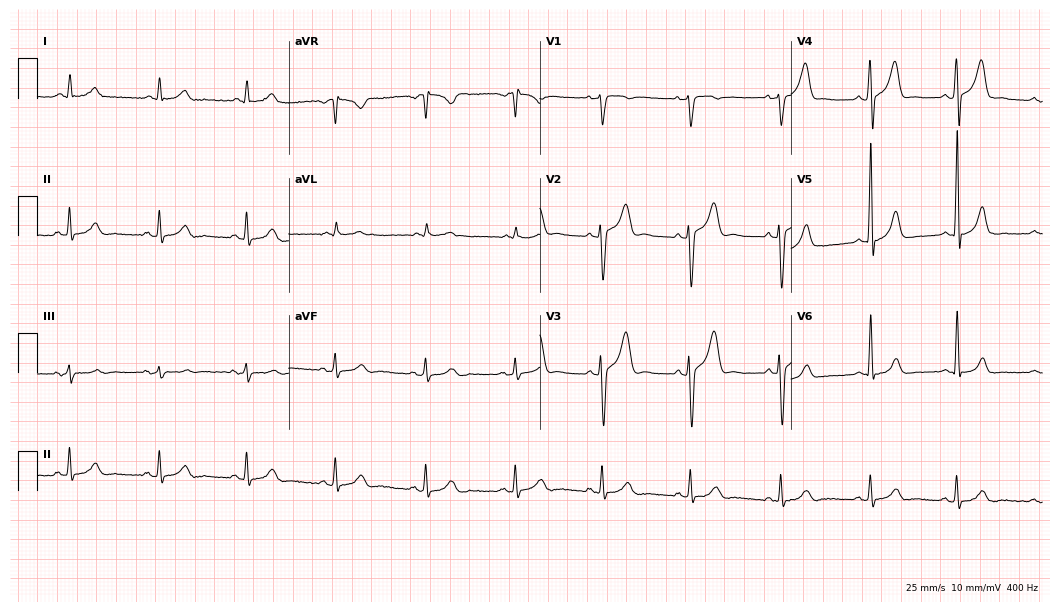
12-lead ECG from a male, 34 years old. Screened for six findings — first-degree AV block, right bundle branch block, left bundle branch block, sinus bradycardia, atrial fibrillation, sinus tachycardia — none is recorded.